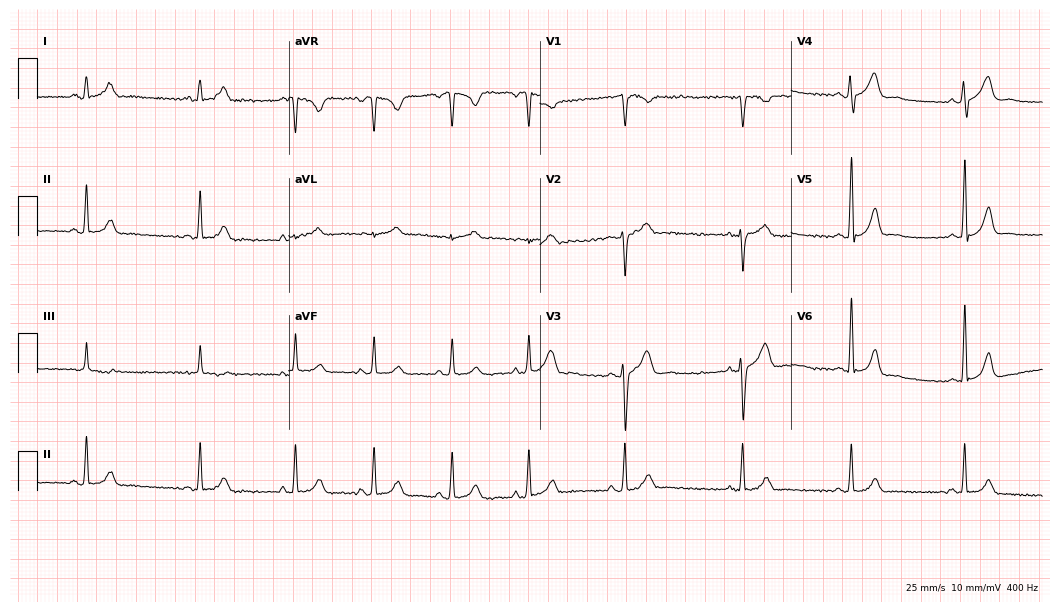
ECG (10.2-second recording at 400 Hz) — a female, 23 years old. Labelled as a normal ECG.